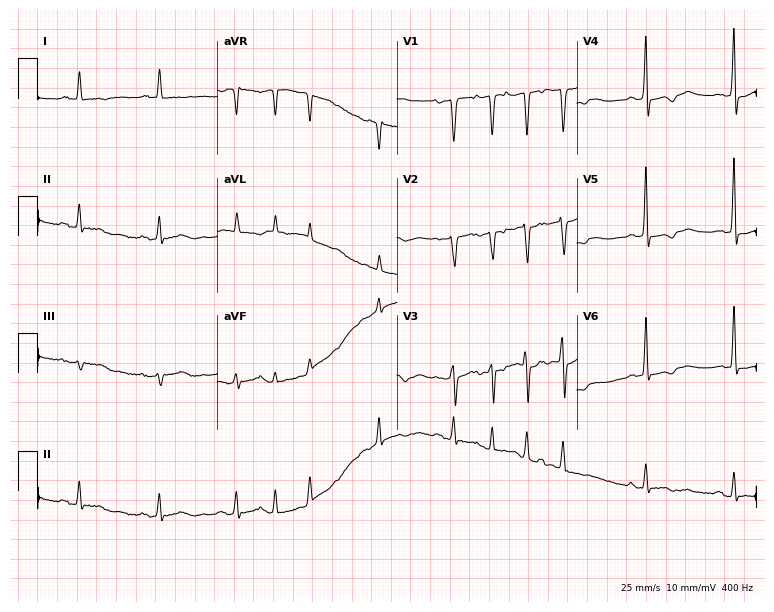
12-lead ECG from an 81-year-old female (7.3-second recording at 400 Hz). No first-degree AV block, right bundle branch block, left bundle branch block, sinus bradycardia, atrial fibrillation or sinus tachycardia recorded for this tracing.